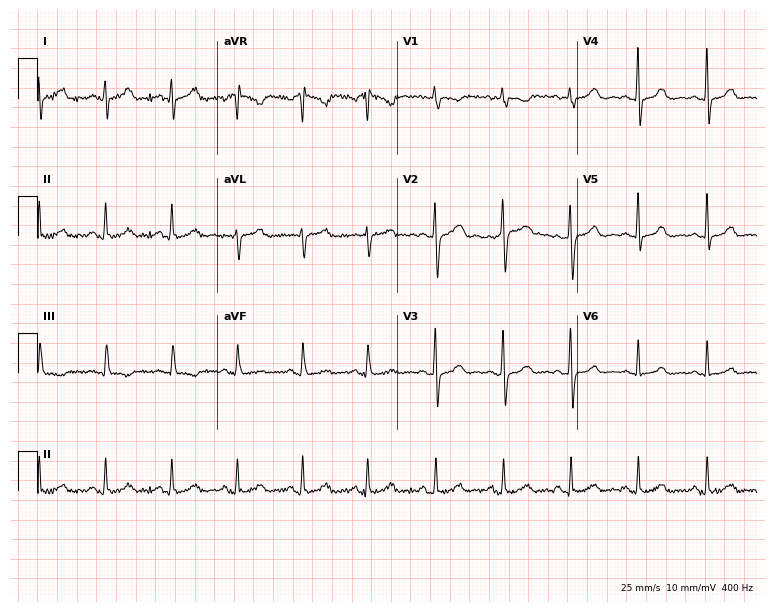
Resting 12-lead electrocardiogram (7.3-second recording at 400 Hz). Patient: a 33-year-old female. Read as a normal ECG.